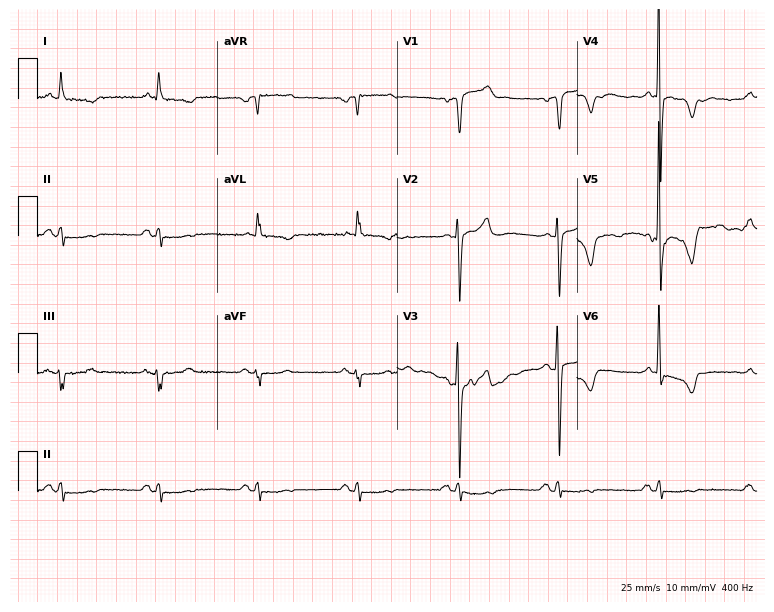
Electrocardiogram, a male, 70 years old. Of the six screened findings (first-degree AV block, right bundle branch block, left bundle branch block, sinus bradycardia, atrial fibrillation, sinus tachycardia), none is recorded.